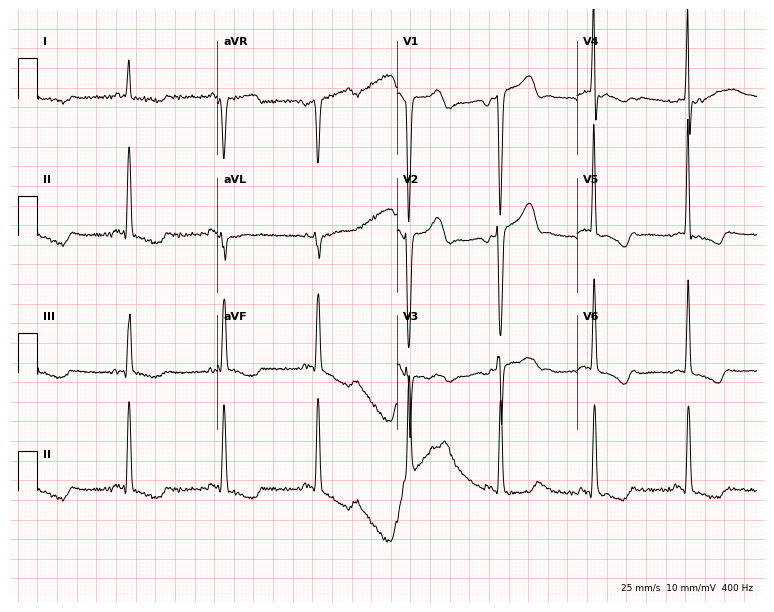
12-lead ECG from a 63-year-old female patient. Screened for six findings — first-degree AV block, right bundle branch block, left bundle branch block, sinus bradycardia, atrial fibrillation, sinus tachycardia — none is recorded. Only these six findings were labelled.